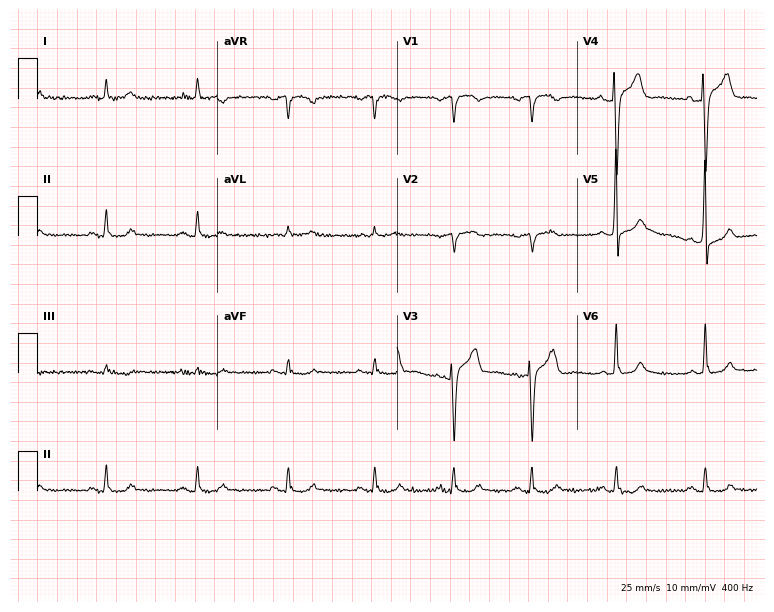
Resting 12-lead electrocardiogram. Patient: a 72-year-old male. None of these six findings is recorded: first-degree AV block, right bundle branch block, left bundle branch block, sinus bradycardia, atrial fibrillation, sinus tachycardia. Other findings, if any, are not listed.